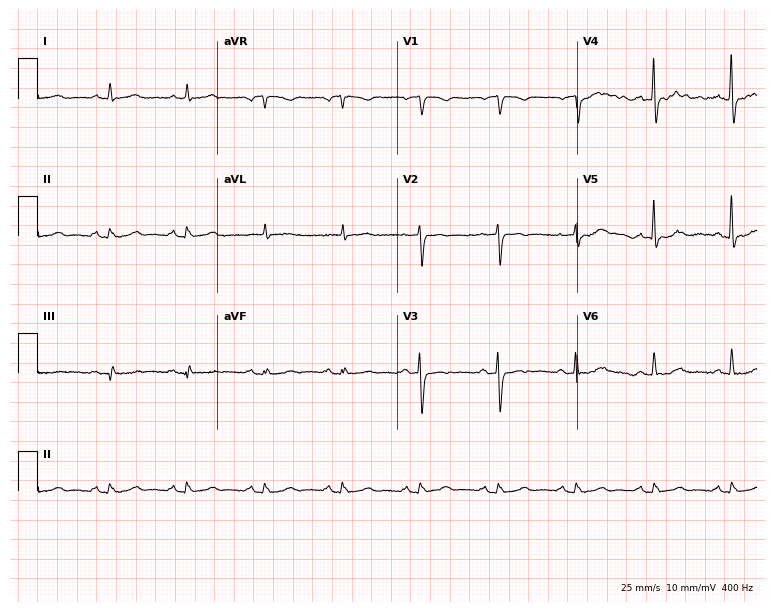
Standard 12-lead ECG recorded from a 75-year-old male patient (7.3-second recording at 400 Hz). None of these six findings is recorded: first-degree AV block, right bundle branch block (RBBB), left bundle branch block (LBBB), sinus bradycardia, atrial fibrillation (AF), sinus tachycardia. Only these six findings were labelled.